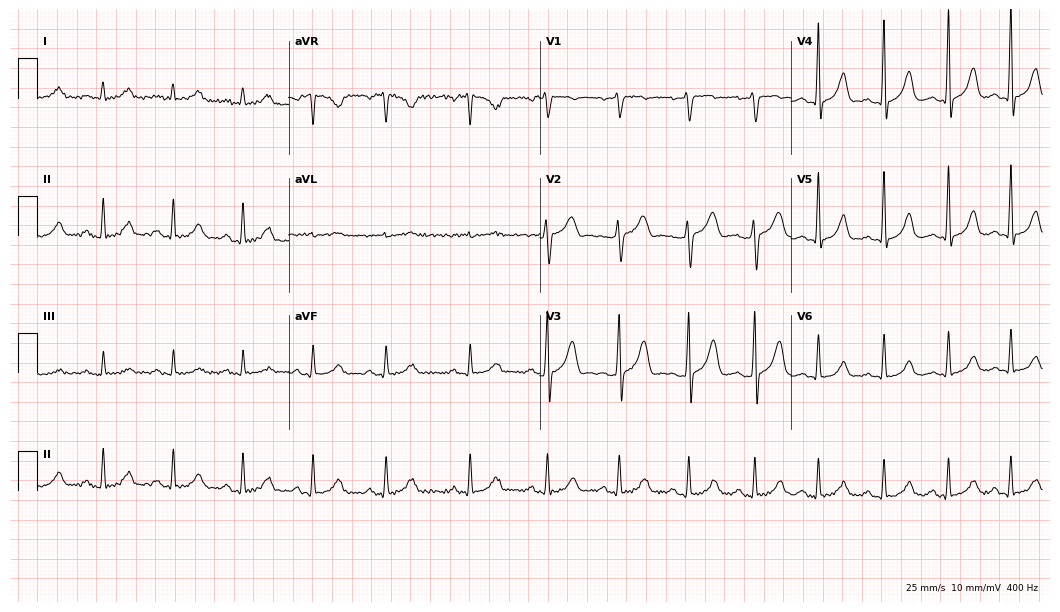
Electrocardiogram (10.2-second recording at 400 Hz), a male, 39 years old. Of the six screened findings (first-degree AV block, right bundle branch block, left bundle branch block, sinus bradycardia, atrial fibrillation, sinus tachycardia), none is recorded. Other findings, if any, are not listed.